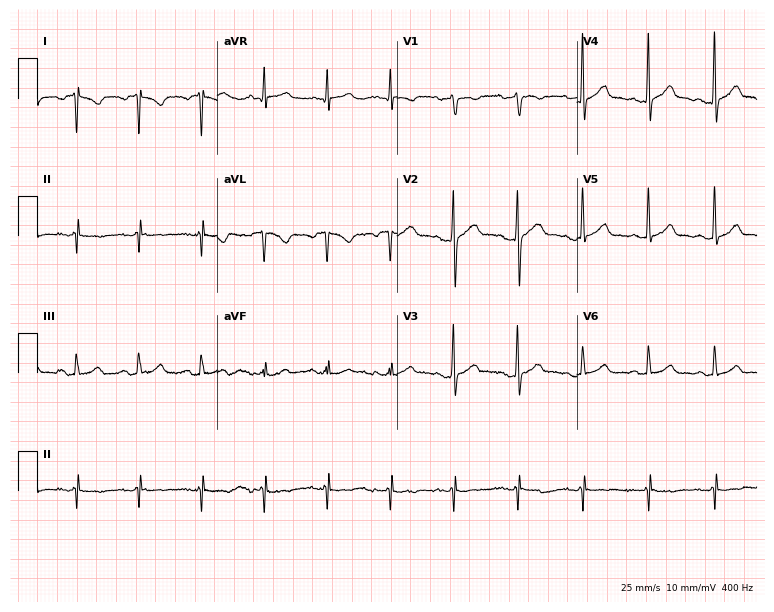
Resting 12-lead electrocardiogram. Patient: a male, 41 years old. None of these six findings is recorded: first-degree AV block, right bundle branch block, left bundle branch block, sinus bradycardia, atrial fibrillation, sinus tachycardia.